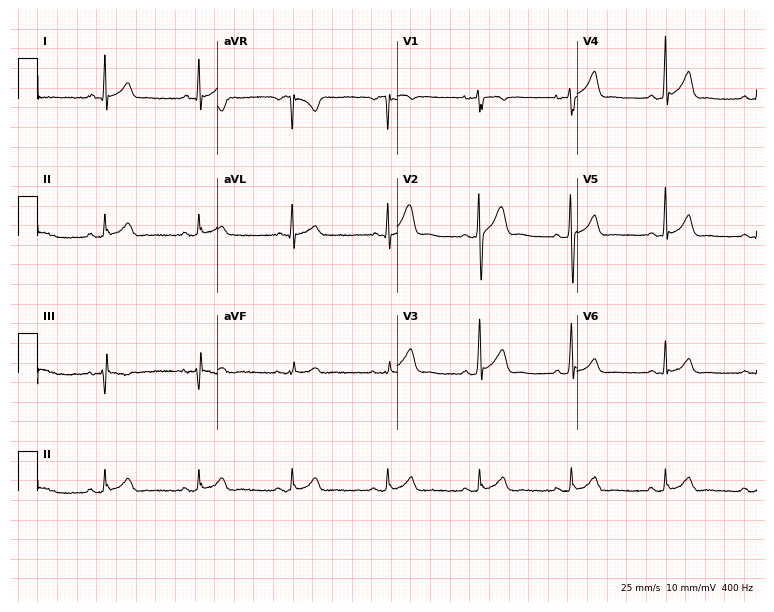
ECG — a female, 28 years old. Labelled as a normal ECG.